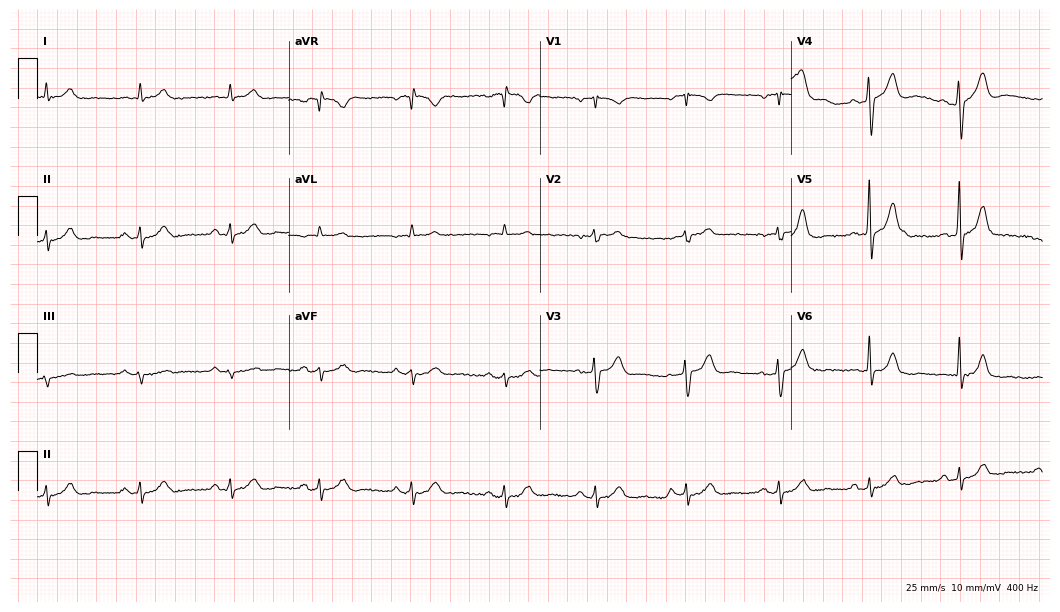
Standard 12-lead ECG recorded from a 59-year-old male patient. Read as a normal ECG.